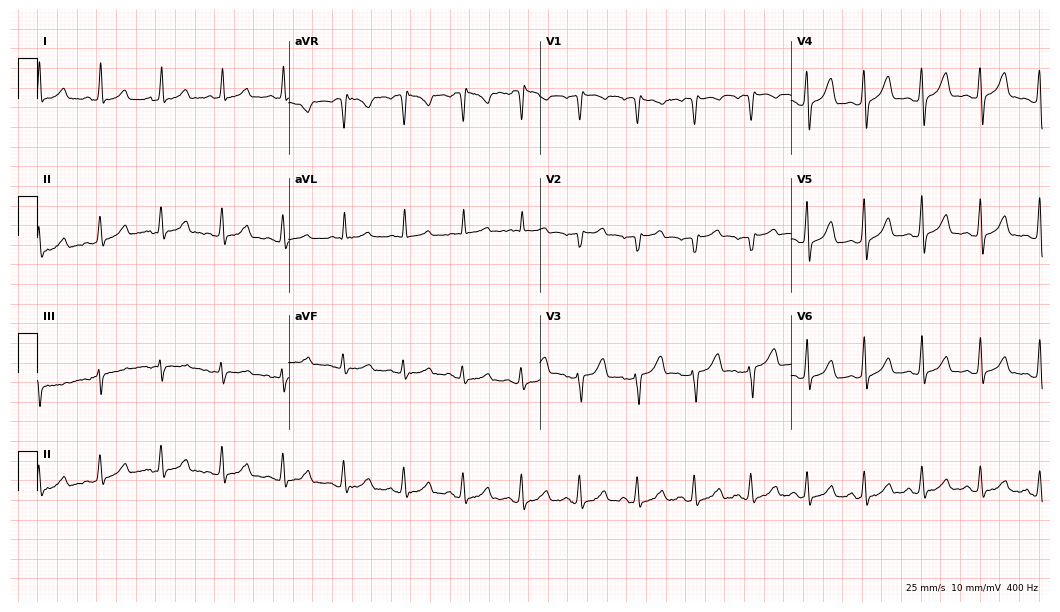
Resting 12-lead electrocardiogram. Patient: a 40-year-old female. The tracing shows sinus tachycardia (a sinus rate of 100 beats per minute or more).